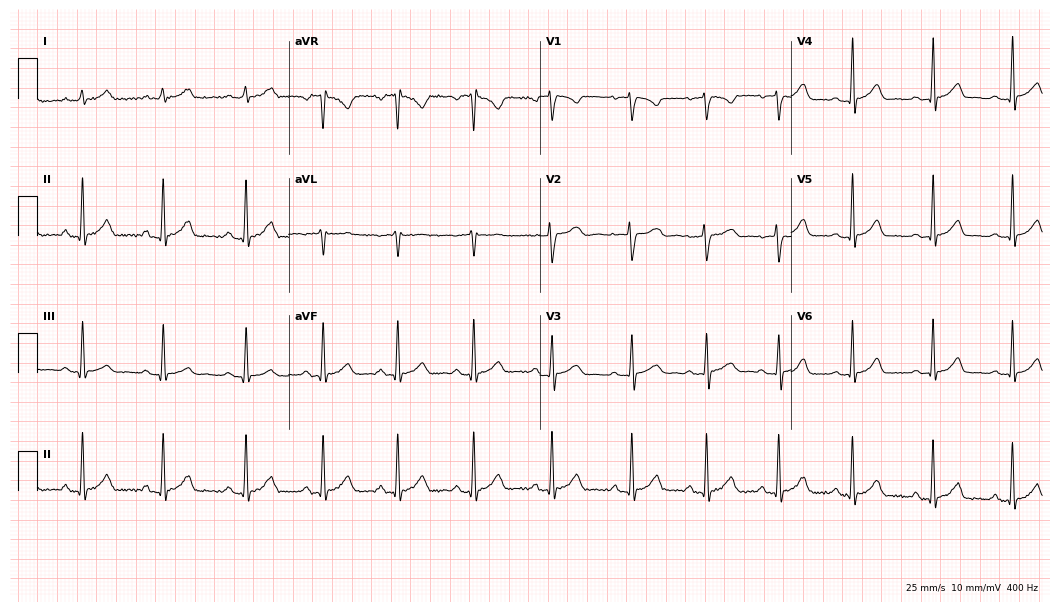
Electrocardiogram, a female patient, 21 years old. Overall reading on record: normal ECG.